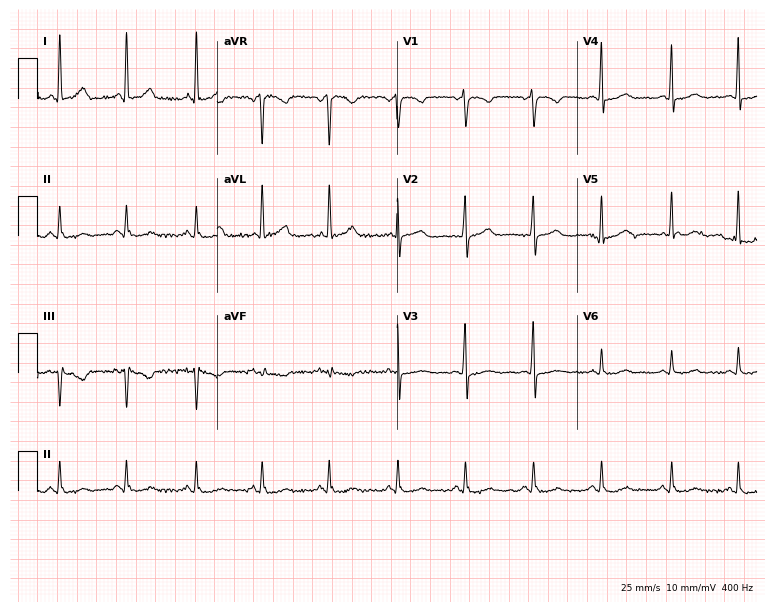
12-lead ECG from a 62-year-old woman (7.3-second recording at 400 Hz). No first-degree AV block, right bundle branch block, left bundle branch block, sinus bradycardia, atrial fibrillation or sinus tachycardia recorded for this tracing.